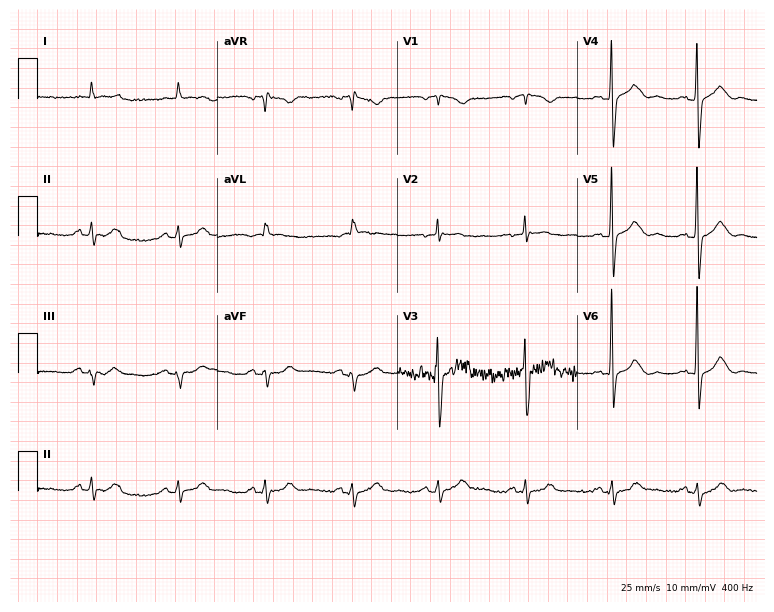
Electrocardiogram, a female, 72 years old. Overall reading on record: normal ECG.